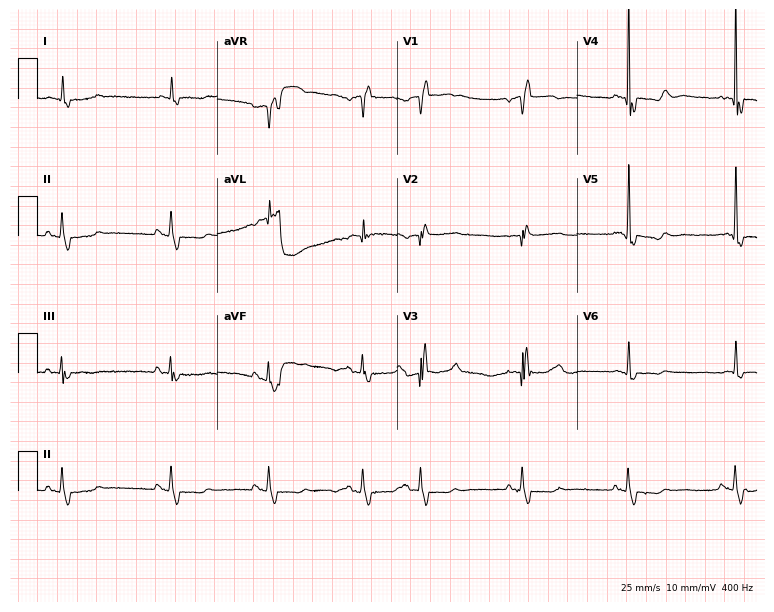
ECG (7.3-second recording at 400 Hz) — an 81-year-old man. Findings include right bundle branch block.